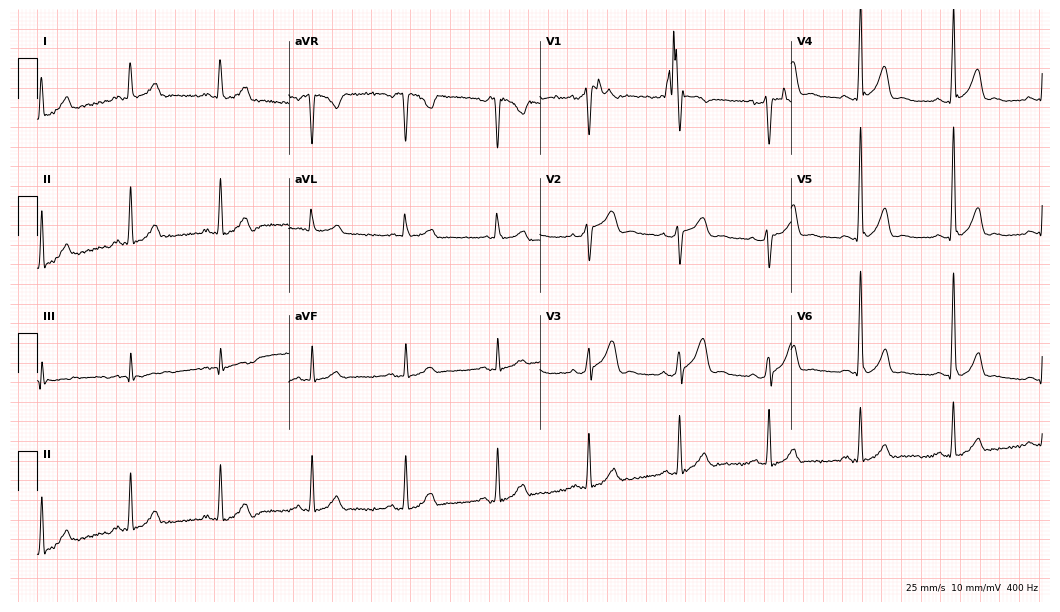
Electrocardiogram (10.2-second recording at 400 Hz), a man, 36 years old. Of the six screened findings (first-degree AV block, right bundle branch block (RBBB), left bundle branch block (LBBB), sinus bradycardia, atrial fibrillation (AF), sinus tachycardia), none is recorded.